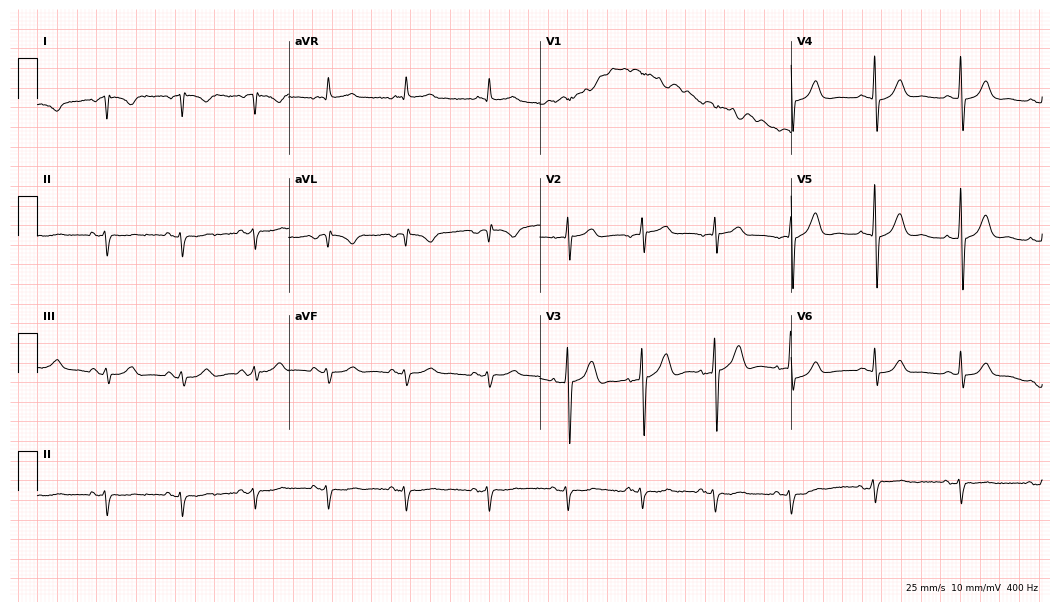
Electrocardiogram (10.2-second recording at 400 Hz), a 76-year-old man. Of the six screened findings (first-degree AV block, right bundle branch block (RBBB), left bundle branch block (LBBB), sinus bradycardia, atrial fibrillation (AF), sinus tachycardia), none is recorded.